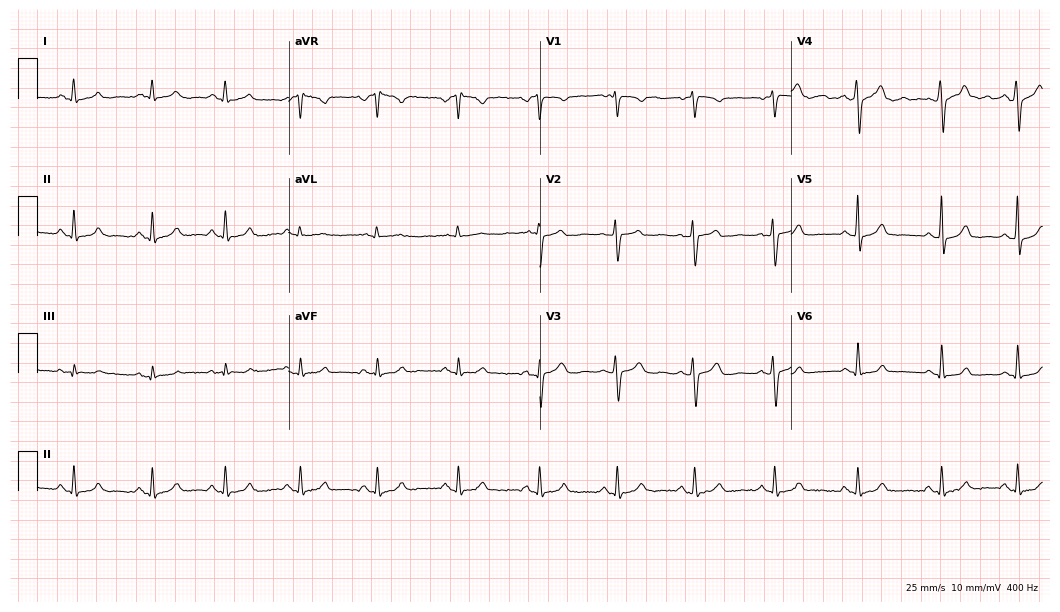
Resting 12-lead electrocardiogram. Patient: a 35-year-old woman. Read as a normal ECG.